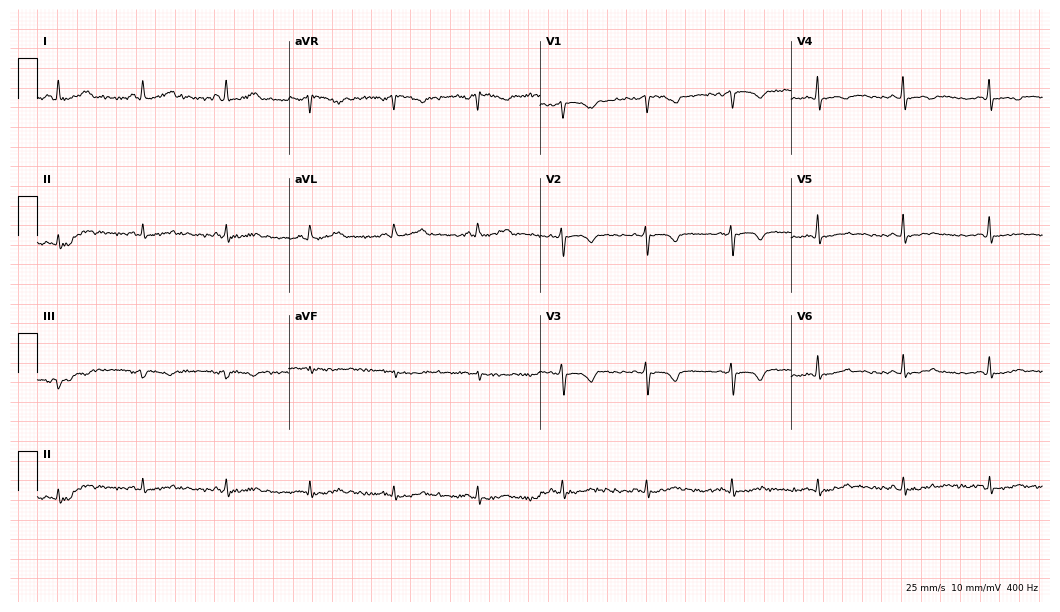
Electrocardiogram (10.2-second recording at 400 Hz), a female patient, 49 years old. Overall reading on record: normal ECG.